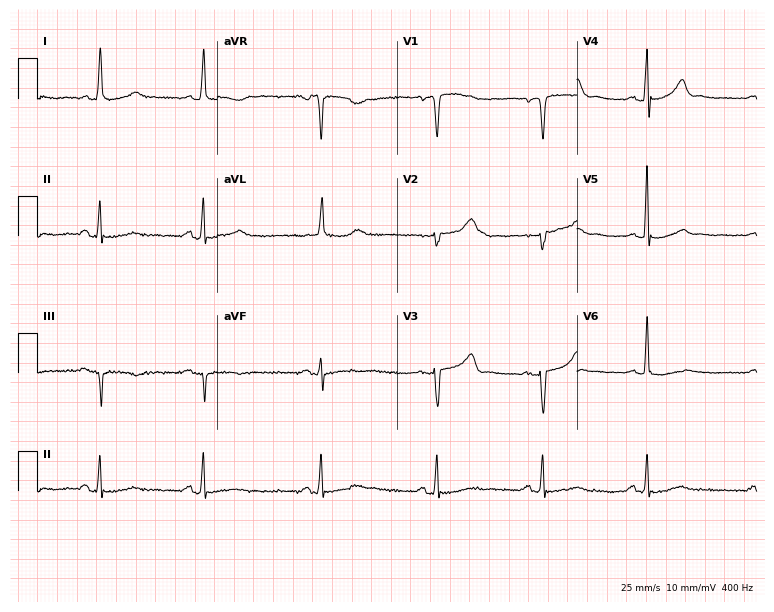
Electrocardiogram (7.3-second recording at 400 Hz), a 74-year-old female. Of the six screened findings (first-degree AV block, right bundle branch block, left bundle branch block, sinus bradycardia, atrial fibrillation, sinus tachycardia), none is recorded. Findings outside these six are not listed.